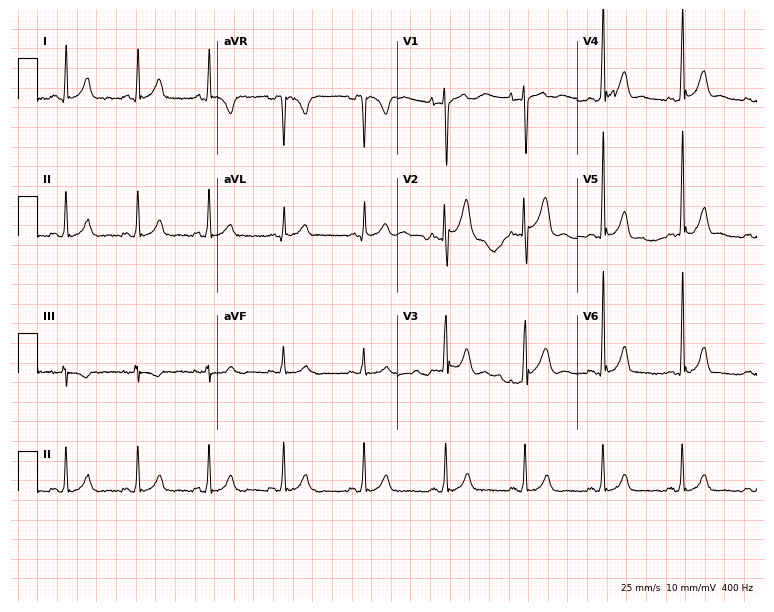
12-lead ECG (7.3-second recording at 400 Hz) from a male patient, 17 years old. Labelled as a normal ECG.